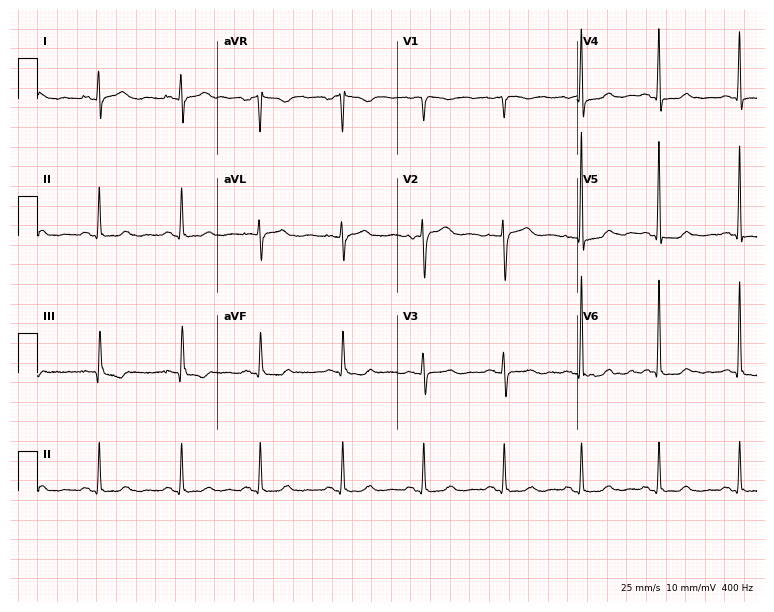
Resting 12-lead electrocardiogram (7.3-second recording at 400 Hz). Patient: a female, 62 years old. None of these six findings is recorded: first-degree AV block, right bundle branch block, left bundle branch block, sinus bradycardia, atrial fibrillation, sinus tachycardia.